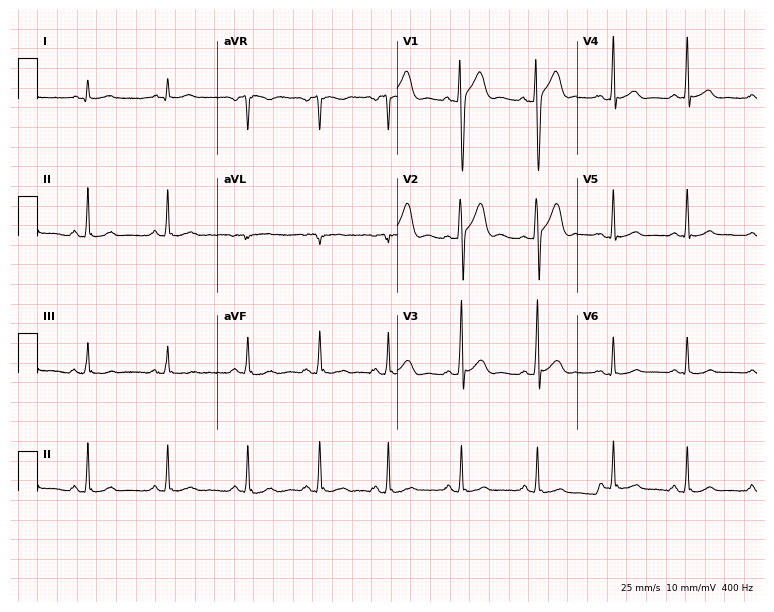
Resting 12-lead electrocardiogram (7.3-second recording at 400 Hz). Patient: a 22-year-old man. None of these six findings is recorded: first-degree AV block, right bundle branch block, left bundle branch block, sinus bradycardia, atrial fibrillation, sinus tachycardia. Other findings, if any, are not listed.